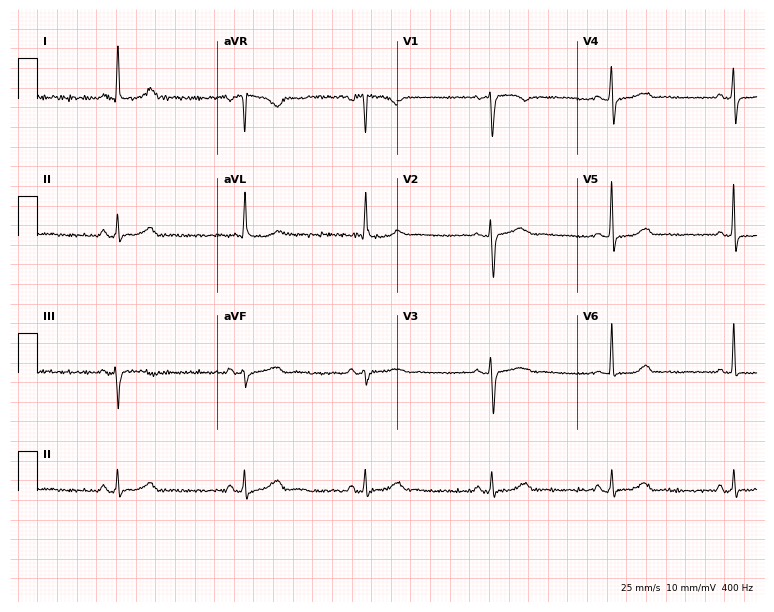
Electrocardiogram, a female patient, 74 years old. Interpretation includes sinus bradycardia (a sinus rate of 50 beats per minute or less).